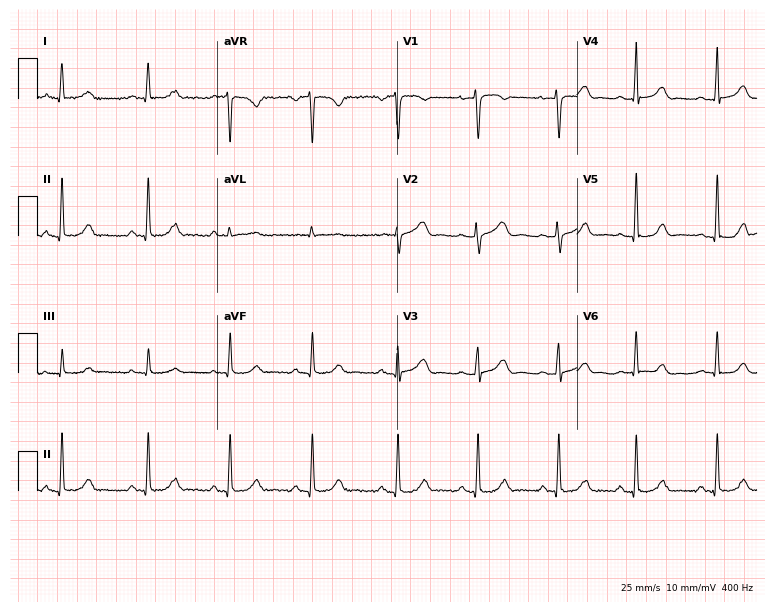
12-lead ECG from a 34-year-old woman (7.3-second recording at 400 Hz). Recorded interpretation: within normal limits.